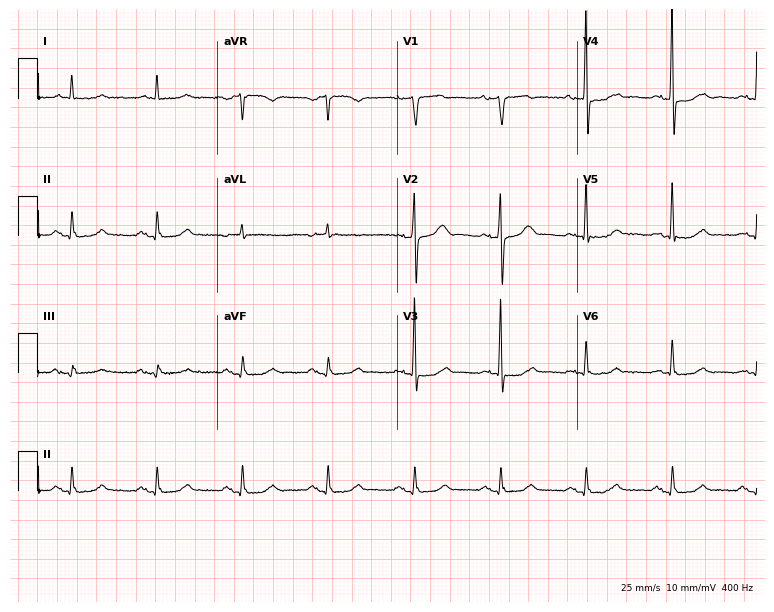
Resting 12-lead electrocardiogram. Patient: an 80-year-old man. None of these six findings is recorded: first-degree AV block, right bundle branch block (RBBB), left bundle branch block (LBBB), sinus bradycardia, atrial fibrillation (AF), sinus tachycardia.